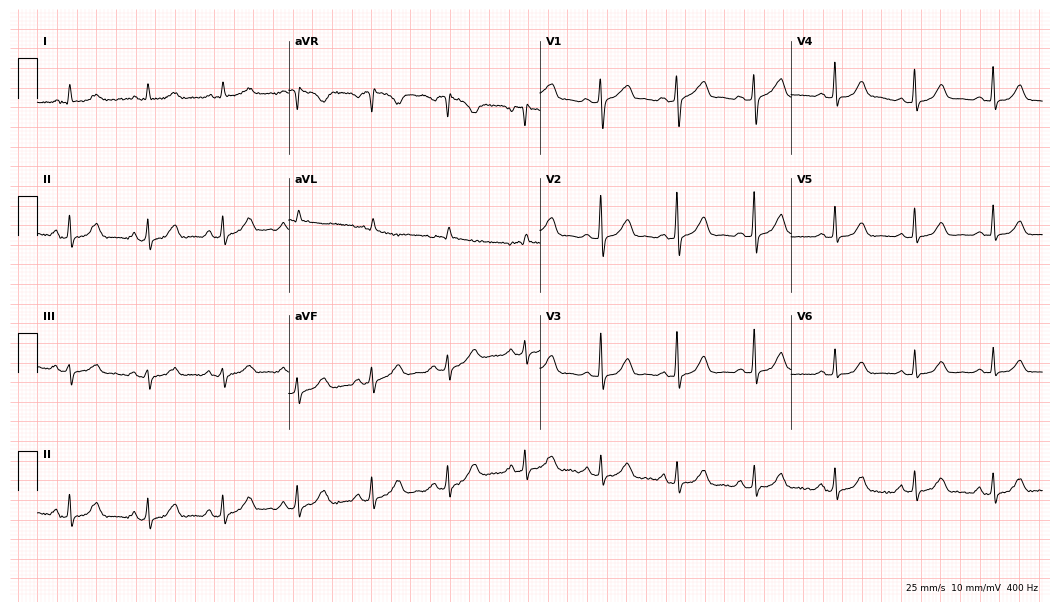
12-lead ECG from a female patient, 65 years old. Recorded interpretation: within normal limits.